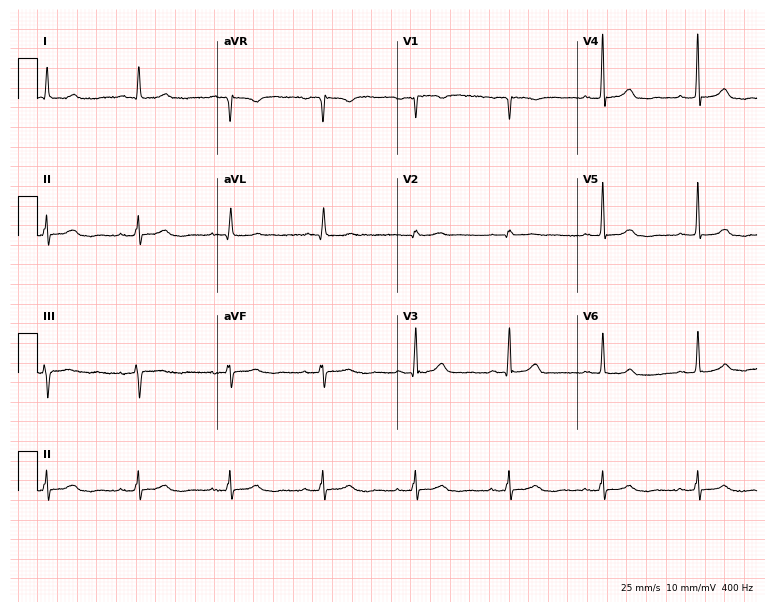
ECG — a female patient, 70 years old. Labelled as a normal ECG.